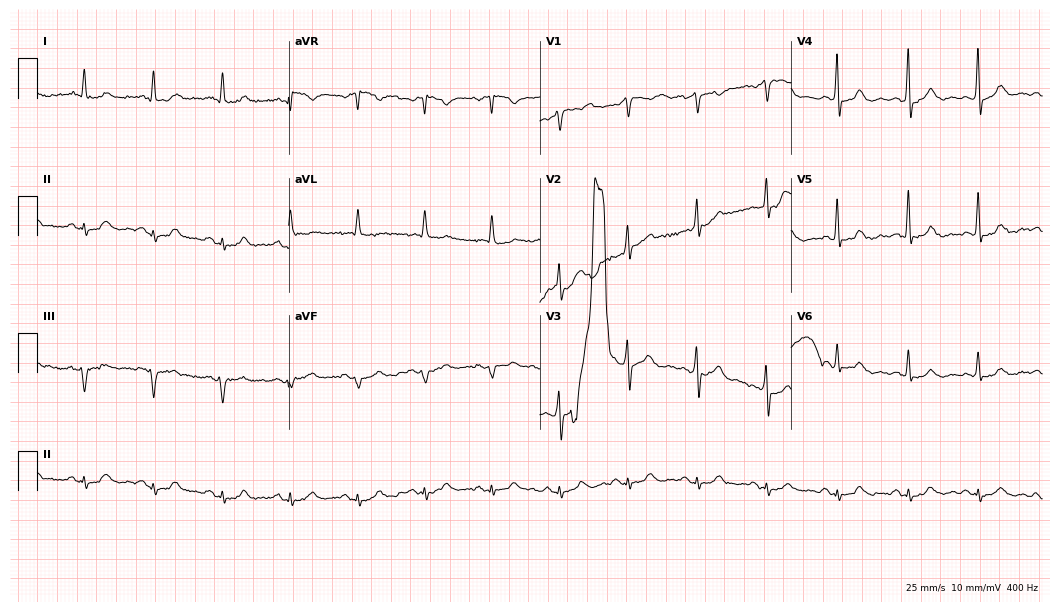
12-lead ECG (10.2-second recording at 400 Hz) from a 78-year-old male. Screened for six findings — first-degree AV block, right bundle branch block (RBBB), left bundle branch block (LBBB), sinus bradycardia, atrial fibrillation (AF), sinus tachycardia — none is recorded. Only these six findings were labelled.